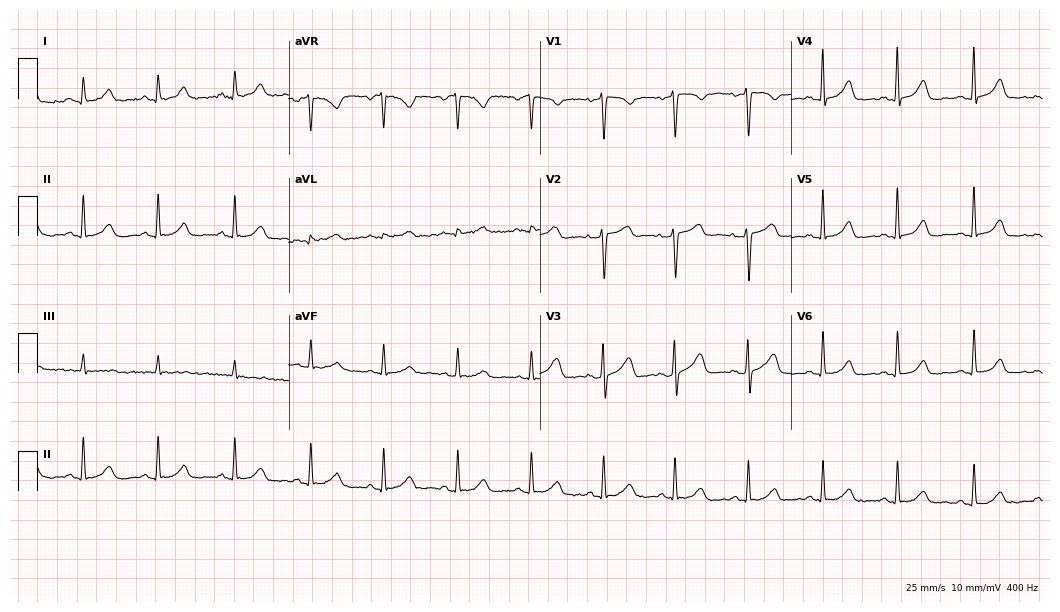
ECG (10.2-second recording at 400 Hz) — a 53-year-old woman. Screened for six findings — first-degree AV block, right bundle branch block (RBBB), left bundle branch block (LBBB), sinus bradycardia, atrial fibrillation (AF), sinus tachycardia — none is recorded. Only these six findings were labelled.